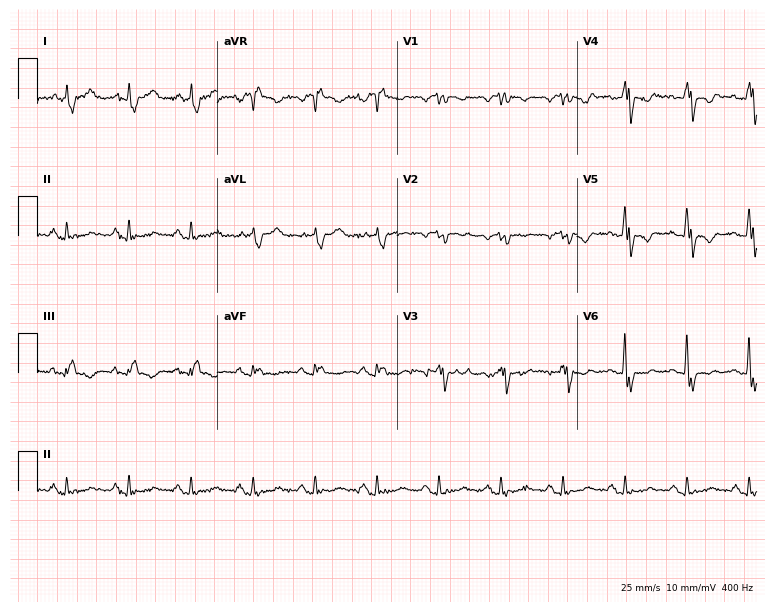
Standard 12-lead ECG recorded from a male patient, 63 years old (7.3-second recording at 400 Hz). The tracing shows right bundle branch block (RBBB).